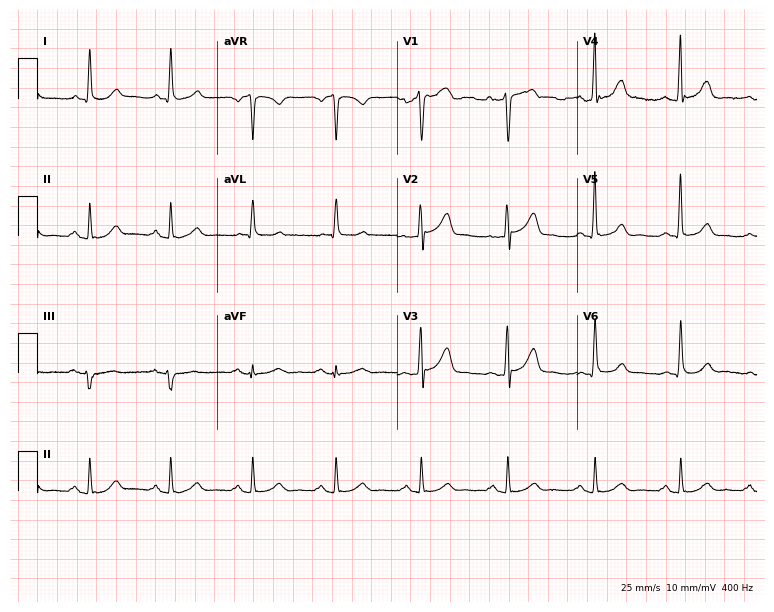
12-lead ECG (7.3-second recording at 400 Hz) from a man, 70 years old. Labelled as a normal ECG.